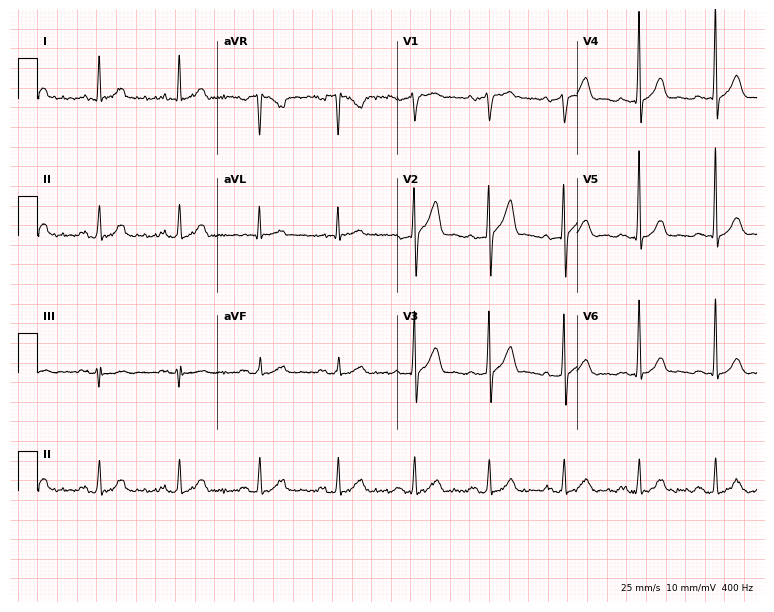
12-lead ECG (7.3-second recording at 400 Hz) from a 56-year-old male patient. Screened for six findings — first-degree AV block, right bundle branch block, left bundle branch block, sinus bradycardia, atrial fibrillation, sinus tachycardia — none is recorded.